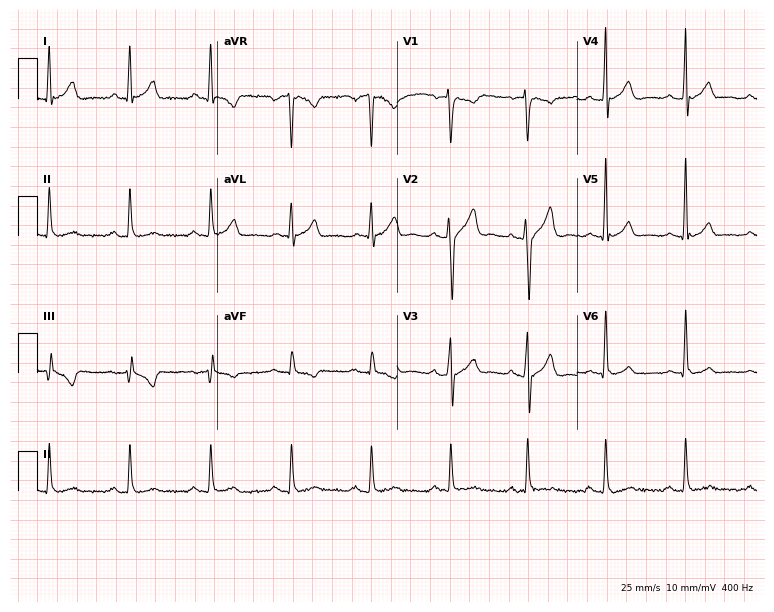
Resting 12-lead electrocardiogram. Patient: a 40-year-old male. Read as a normal ECG.